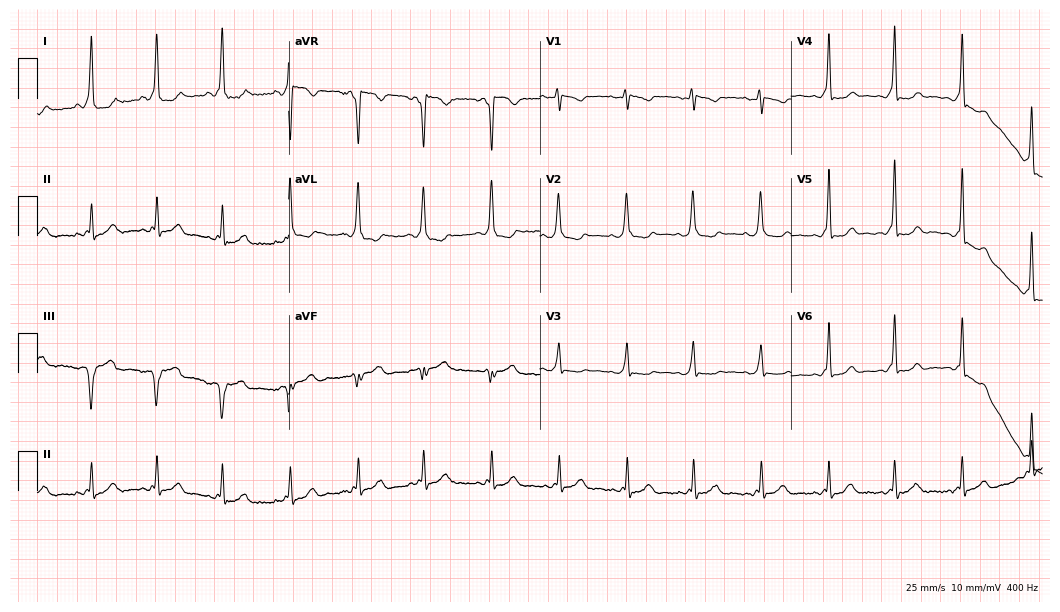
12-lead ECG (10.2-second recording at 400 Hz) from a female patient, 26 years old. Screened for six findings — first-degree AV block, right bundle branch block (RBBB), left bundle branch block (LBBB), sinus bradycardia, atrial fibrillation (AF), sinus tachycardia — none is recorded.